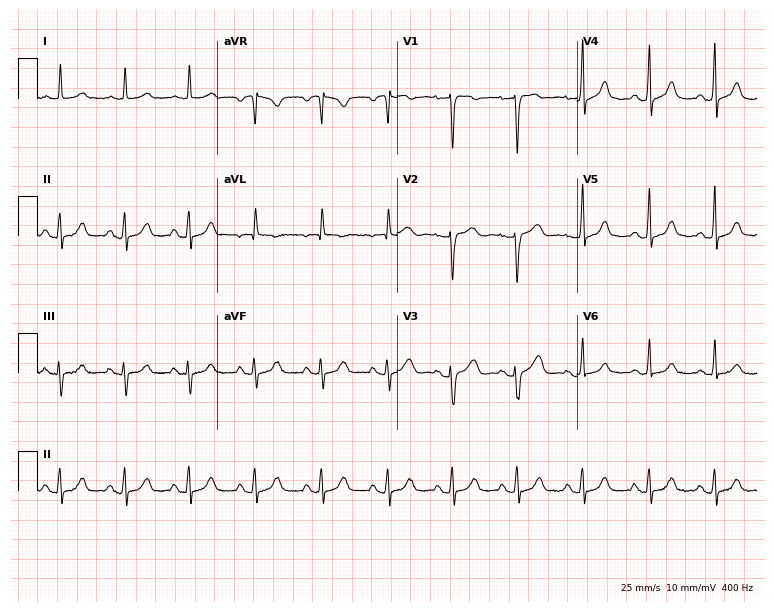
12-lead ECG from a 59-year-old female patient. Recorded interpretation: within normal limits.